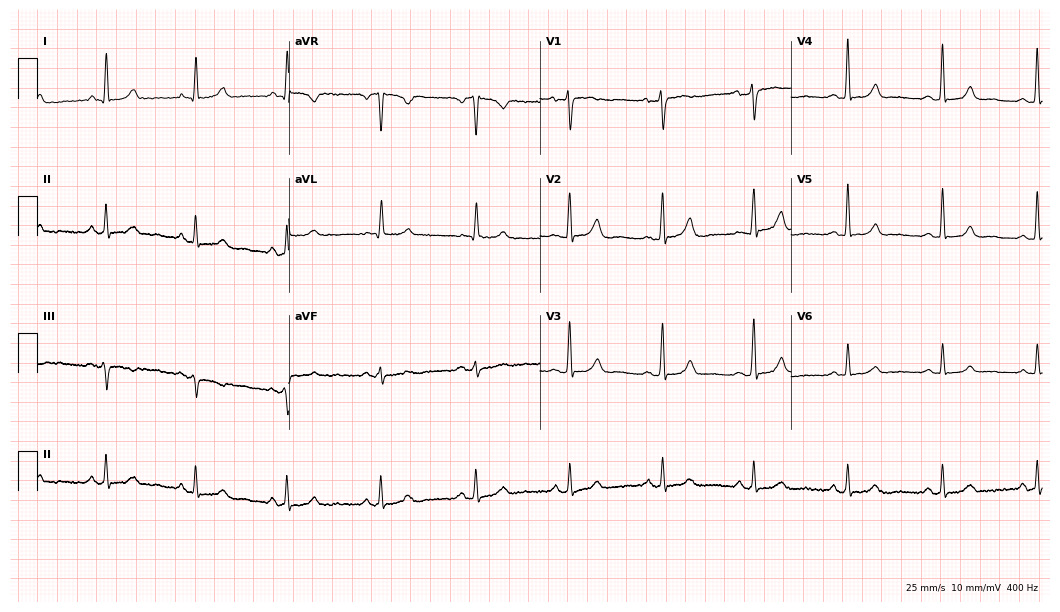
Electrocardiogram (10.2-second recording at 400 Hz), a 50-year-old female. Overall reading on record: normal ECG.